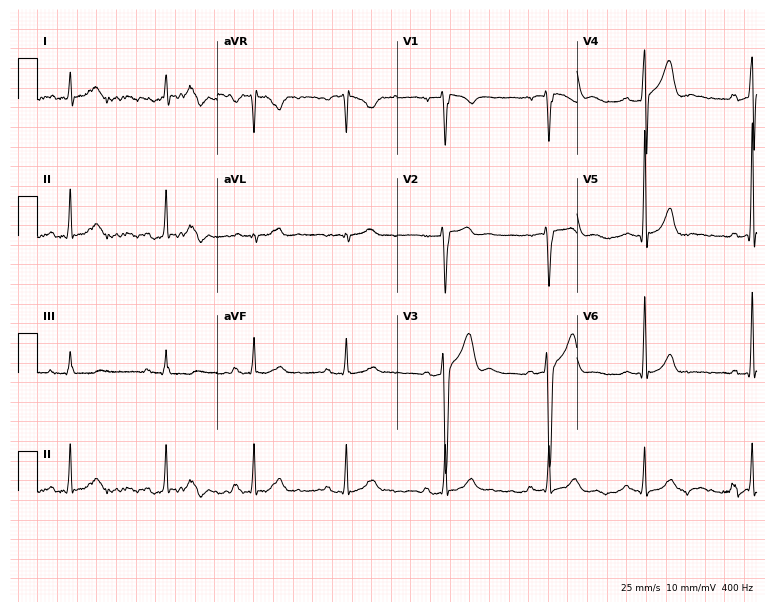
12-lead ECG from a 39-year-old man (7.3-second recording at 400 Hz). No first-degree AV block, right bundle branch block, left bundle branch block, sinus bradycardia, atrial fibrillation or sinus tachycardia recorded for this tracing. Only these six findings were labelled.